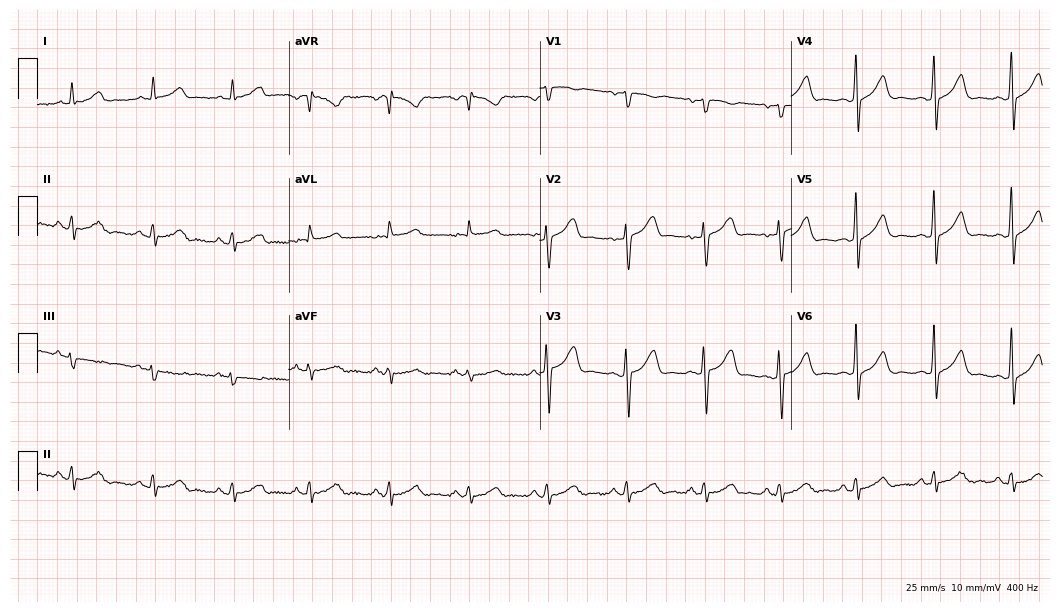
ECG (10.2-second recording at 400 Hz) — a woman, 39 years old. Labelled as a normal ECG.